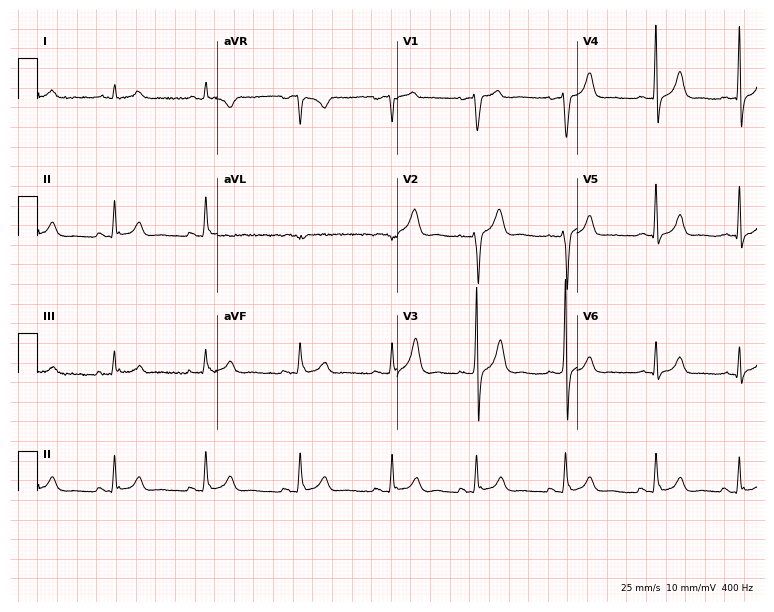
Electrocardiogram (7.3-second recording at 400 Hz), a man, 38 years old. Overall reading on record: normal ECG.